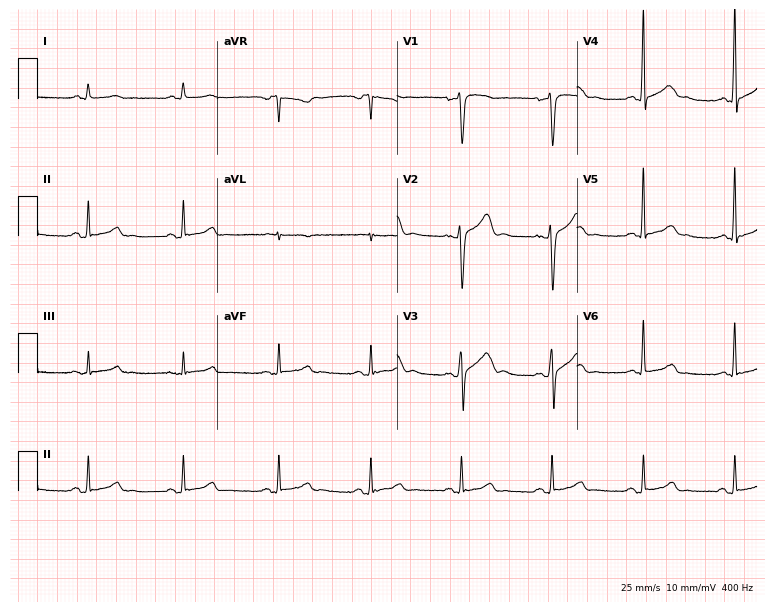
12-lead ECG from a male patient, 48 years old (7.3-second recording at 400 Hz). Recorded interpretation: within normal limits.